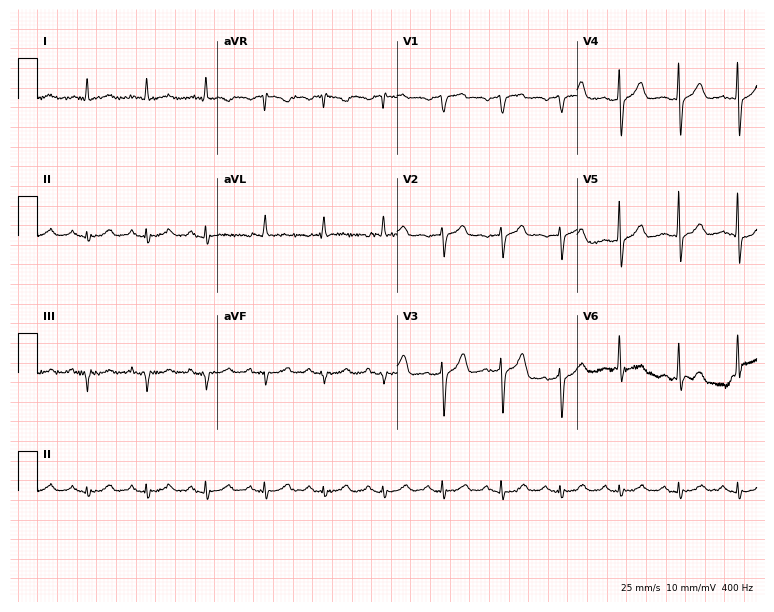
Standard 12-lead ECG recorded from a male, 62 years old. None of these six findings is recorded: first-degree AV block, right bundle branch block, left bundle branch block, sinus bradycardia, atrial fibrillation, sinus tachycardia. Findings outside these six are not listed.